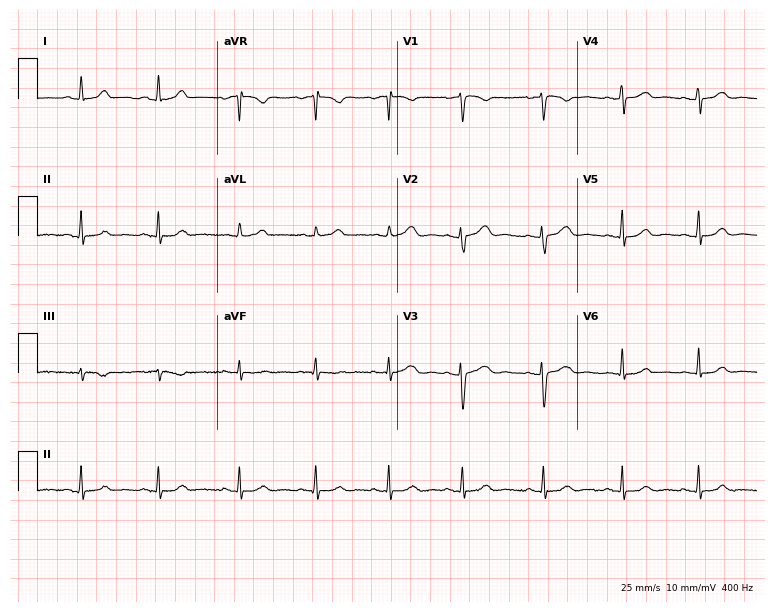
12-lead ECG from a 42-year-old female patient. Labelled as a normal ECG.